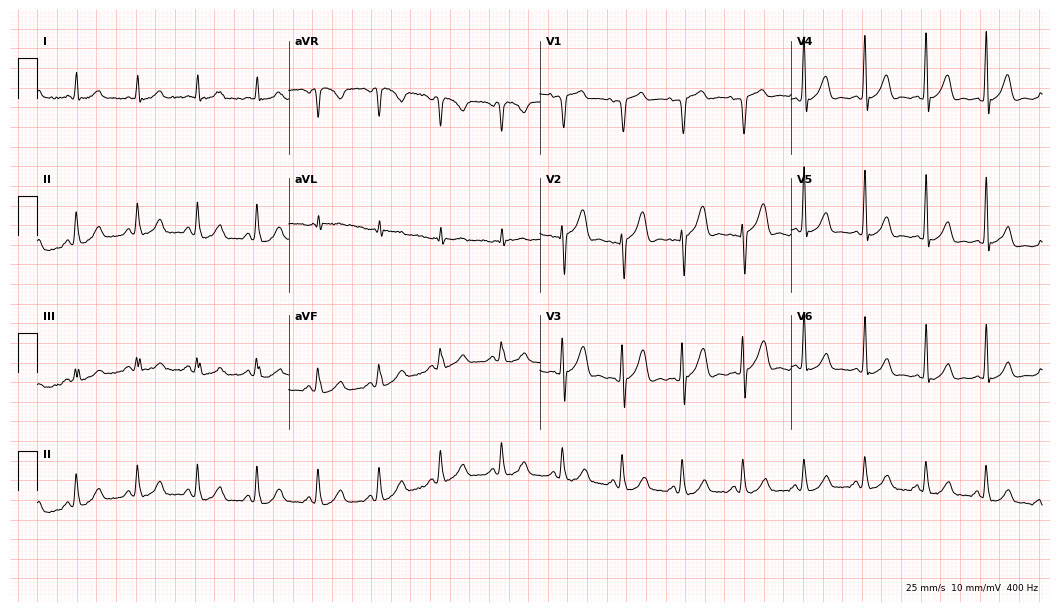
12-lead ECG from a male patient, 73 years old. Labelled as a normal ECG.